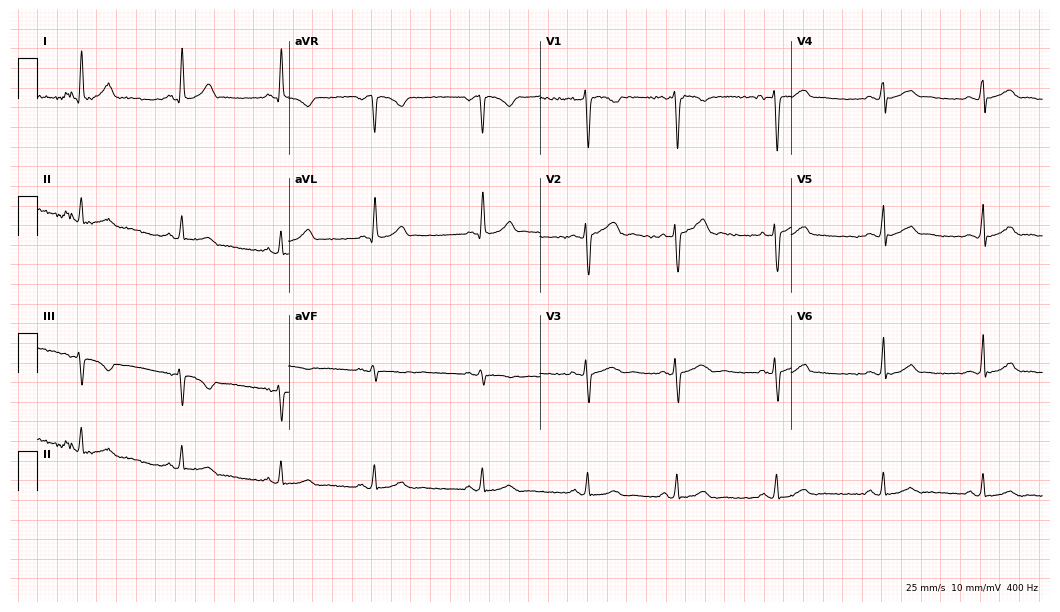
Resting 12-lead electrocardiogram (10.2-second recording at 400 Hz). Patient: a 24-year-old female. Read as a normal ECG.